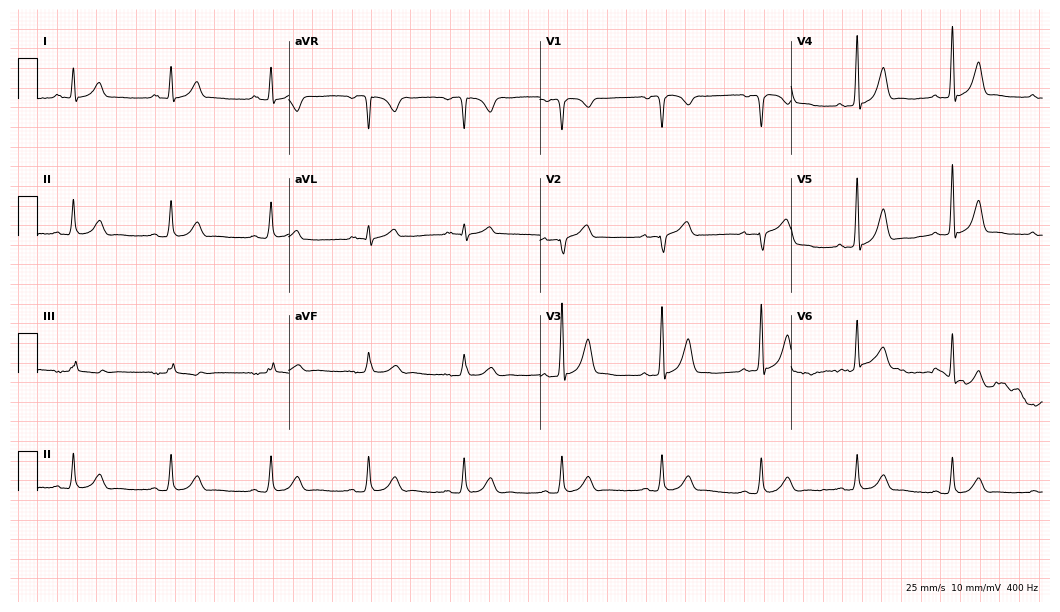
12-lead ECG from a 58-year-old male. Recorded interpretation: within normal limits.